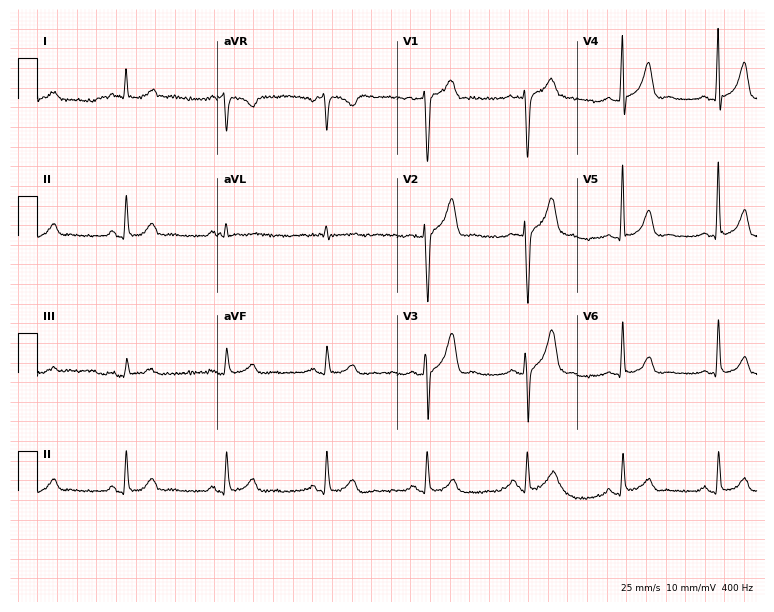
ECG — a male patient, 45 years old. Labelled as a normal ECG.